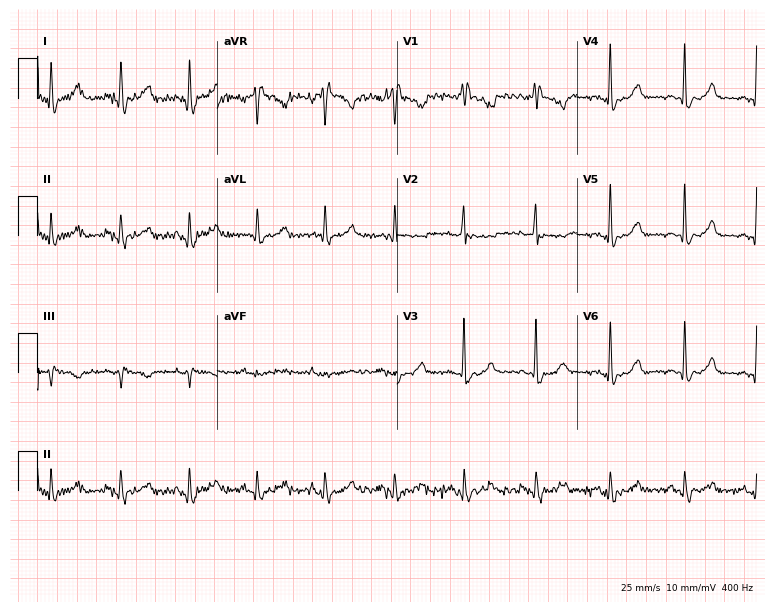
12-lead ECG from a 50-year-old female patient (7.3-second recording at 400 Hz). No first-degree AV block, right bundle branch block (RBBB), left bundle branch block (LBBB), sinus bradycardia, atrial fibrillation (AF) or sinus tachycardia recorded for this tracing. Findings outside these six are not listed.